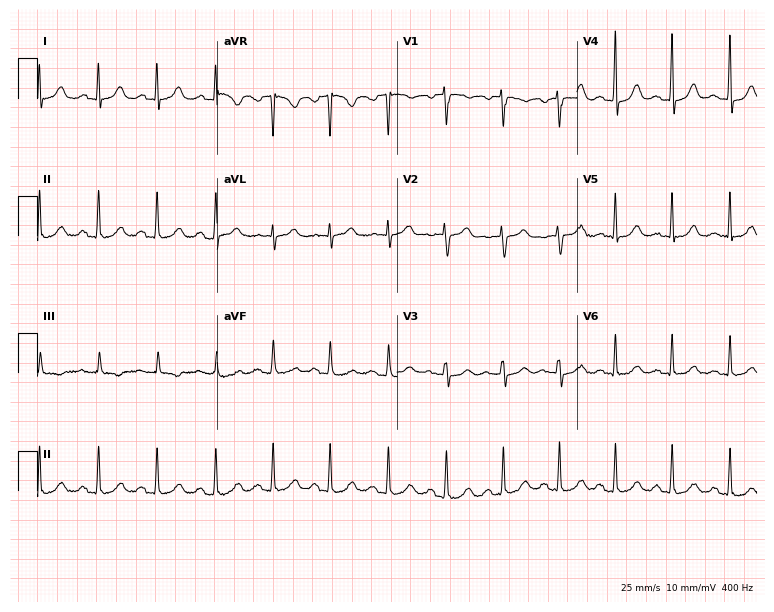
Resting 12-lead electrocardiogram (7.3-second recording at 400 Hz). Patient: a 49-year-old female. The tracing shows sinus tachycardia (a sinus rate of 100 beats per minute or more).